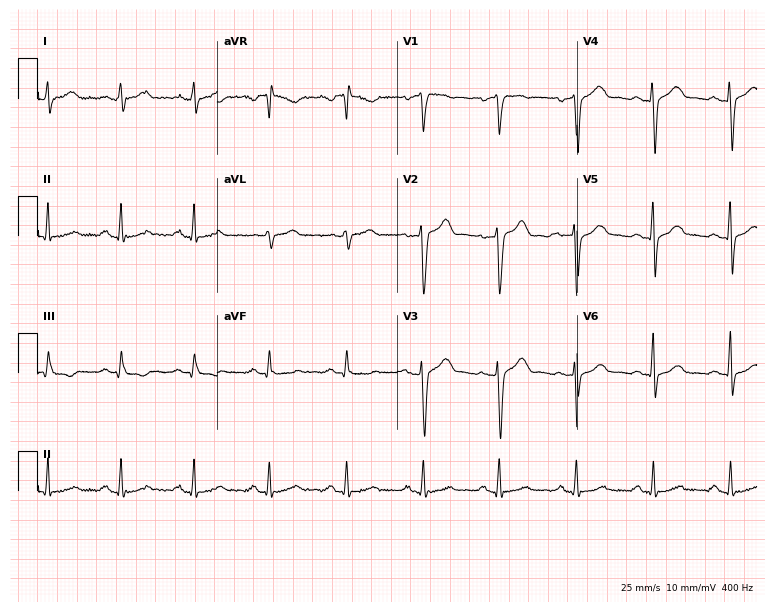
ECG — a male, 37 years old. Labelled as a normal ECG.